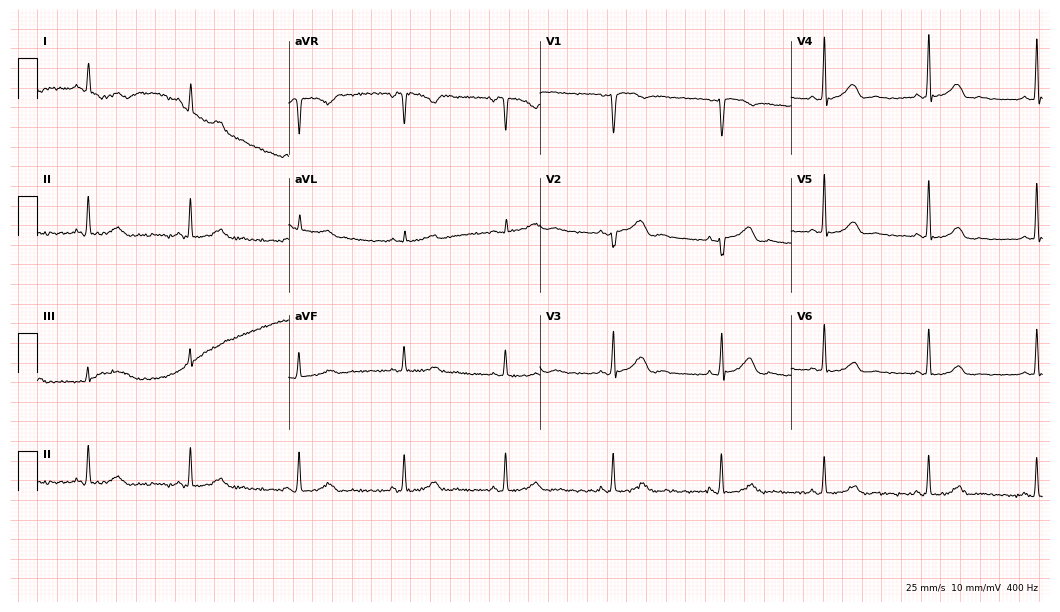
Resting 12-lead electrocardiogram (10.2-second recording at 400 Hz). Patient: a 45-year-old woman. Read as a normal ECG.